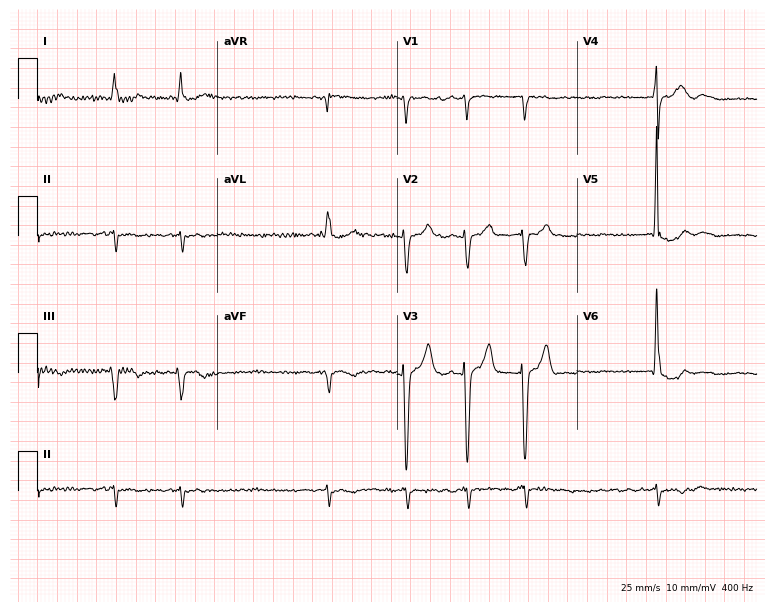
12-lead ECG (7.3-second recording at 400 Hz) from a male patient, 59 years old. Findings include atrial fibrillation.